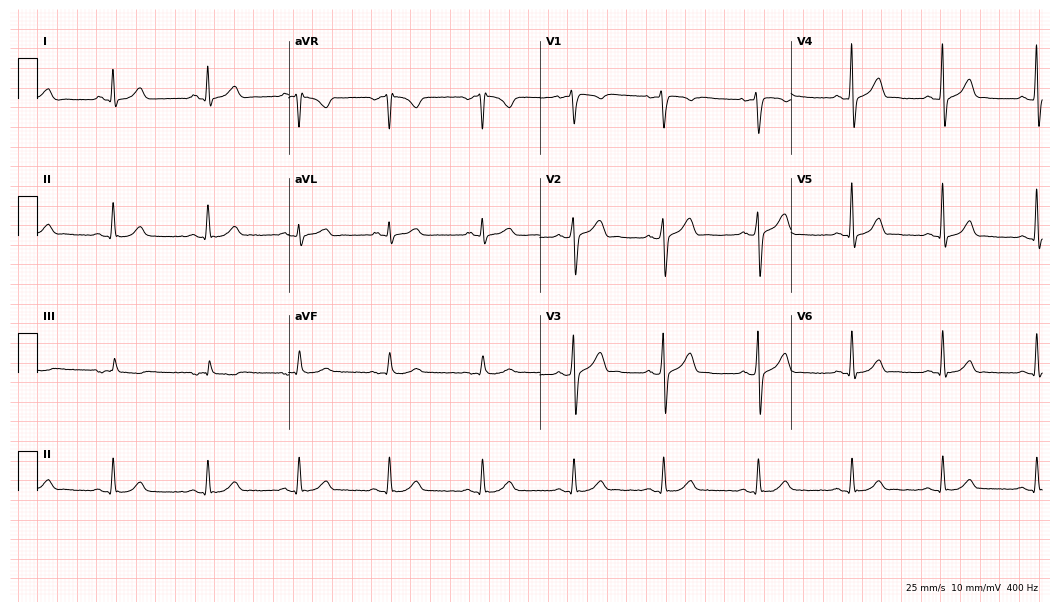
ECG — a male, 28 years old. Labelled as a normal ECG.